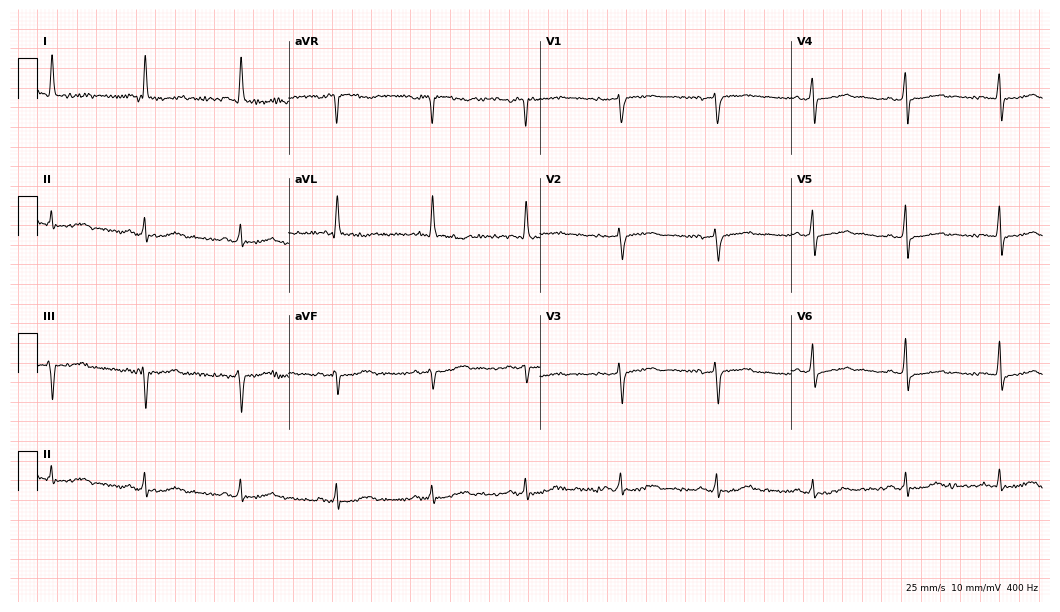
12-lead ECG from a female, 59 years old. Screened for six findings — first-degree AV block, right bundle branch block, left bundle branch block, sinus bradycardia, atrial fibrillation, sinus tachycardia — none is recorded.